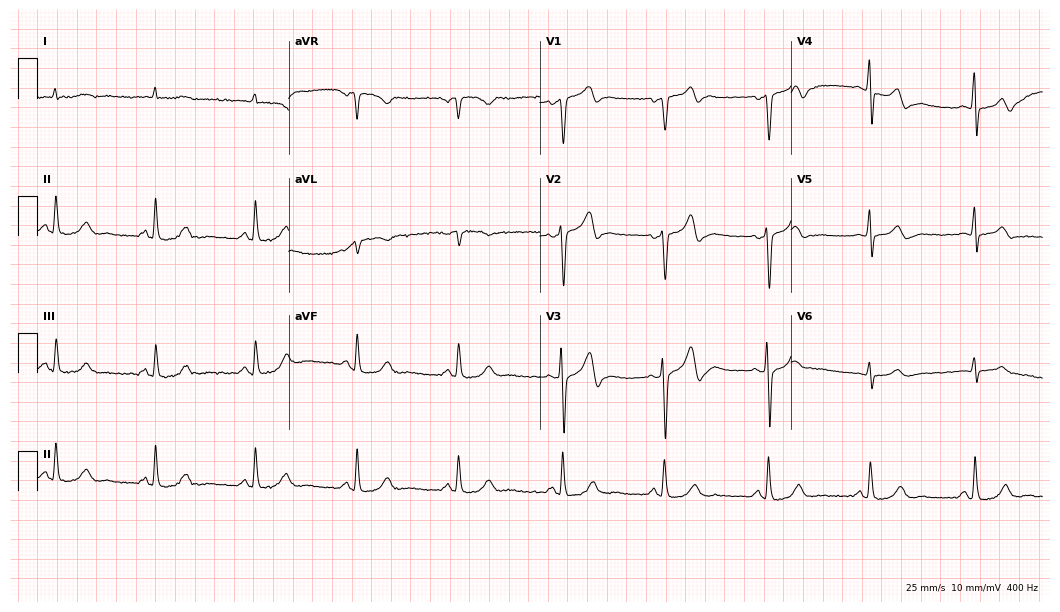
Electrocardiogram (10.2-second recording at 400 Hz), a male, 73 years old. Of the six screened findings (first-degree AV block, right bundle branch block, left bundle branch block, sinus bradycardia, atrial fibrillation, sinus tachycardia), none is recorded.